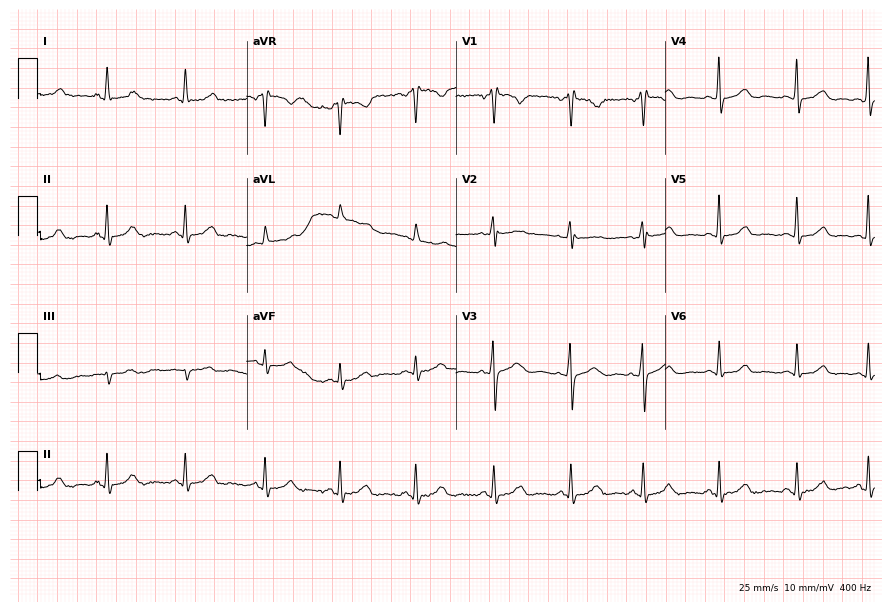
12-lead ECG from a woman, 42 years old (8.5-second recording at 400 Hz). Recorded interpretation: within normal limits.